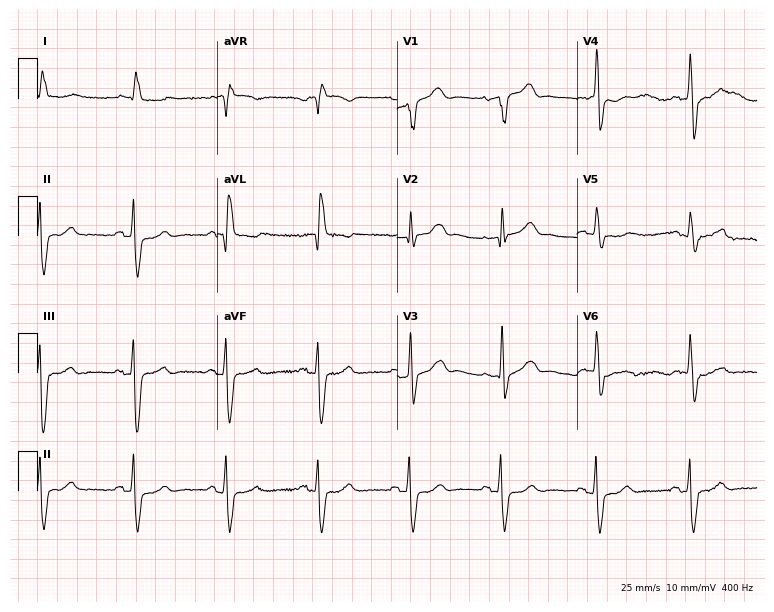
ECG — a man, 84 years old. Screened for six findings — first-degree AV block, right bundle branch block (RBBB), left bundle branch block (LBBB), sinus bradycardia, atrial fibrillation (AF), sinus tachycardia — none is recorded. Only these six findings were labelled.